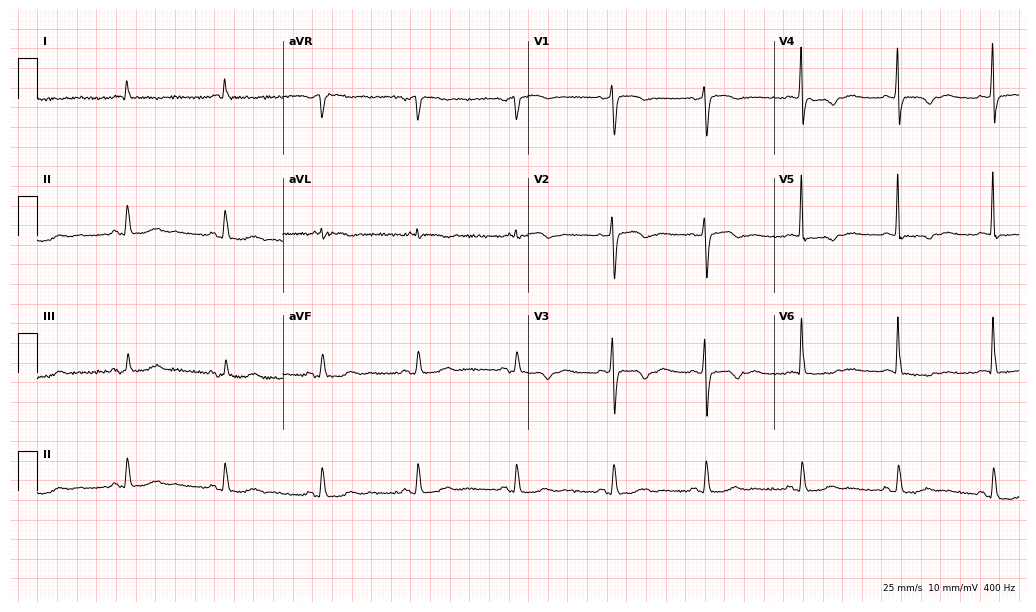
12-lead ECG from a male, 62 years old. Screened for six findings — first-degree AV block, right bundle branch block, left bundle branch block, sinus bradycardia, atrial fibrillation, sinus tachycardia — none is recorded.